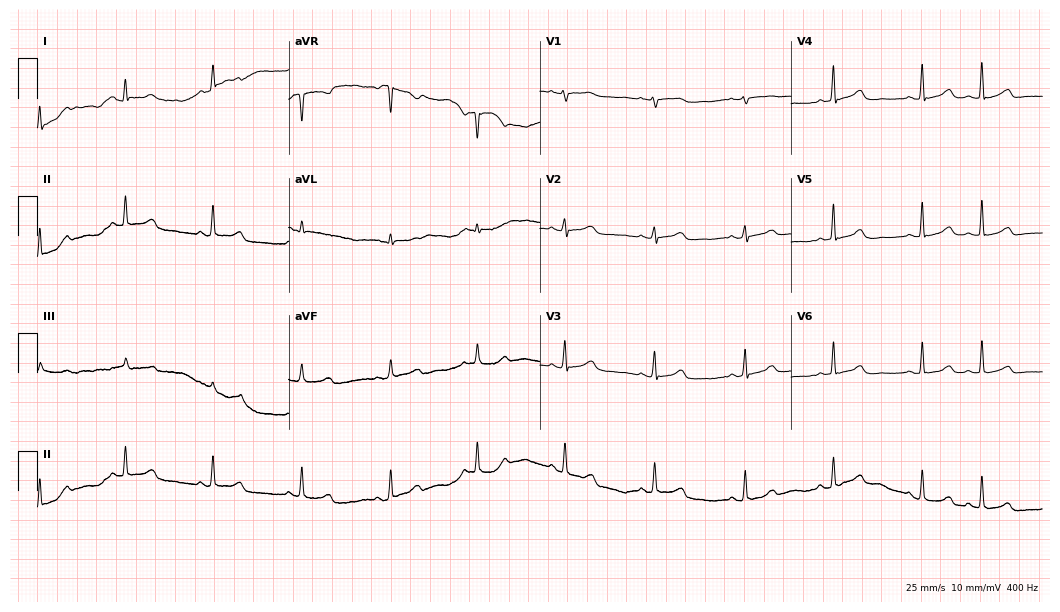
12-lead ECG from a woman, 48 years old. Recorded interpretation: within normal limits.